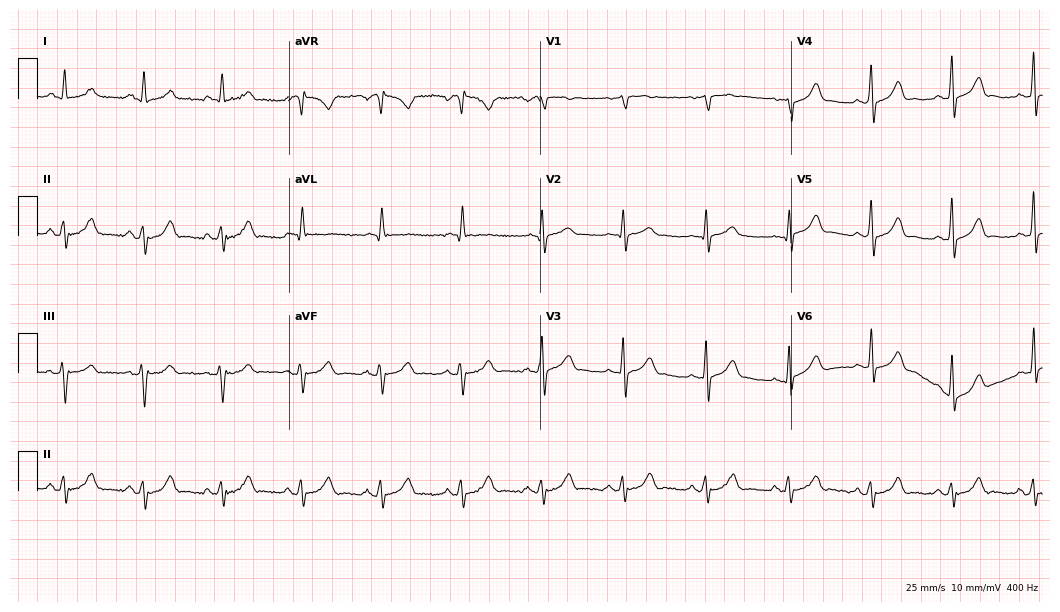
Resting 12-lead electrocardiogram (10.2-second recording at 400 Hz). Patient: a male, 57 years old. Read as a normal ECG.